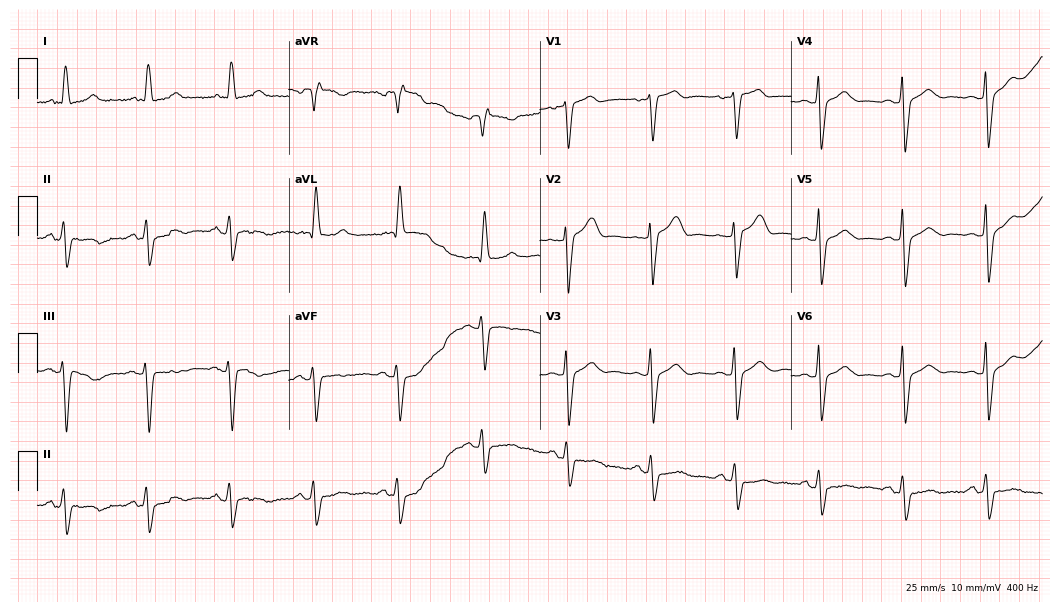
Electrocardiogram, a 77-year-old female patient. Of the six screened findings (first-degree AV block, right bundle branch block, left bundle branch block, sinus bradycardia, atrial fibrillation, sinus tachycardia), none is recorded.